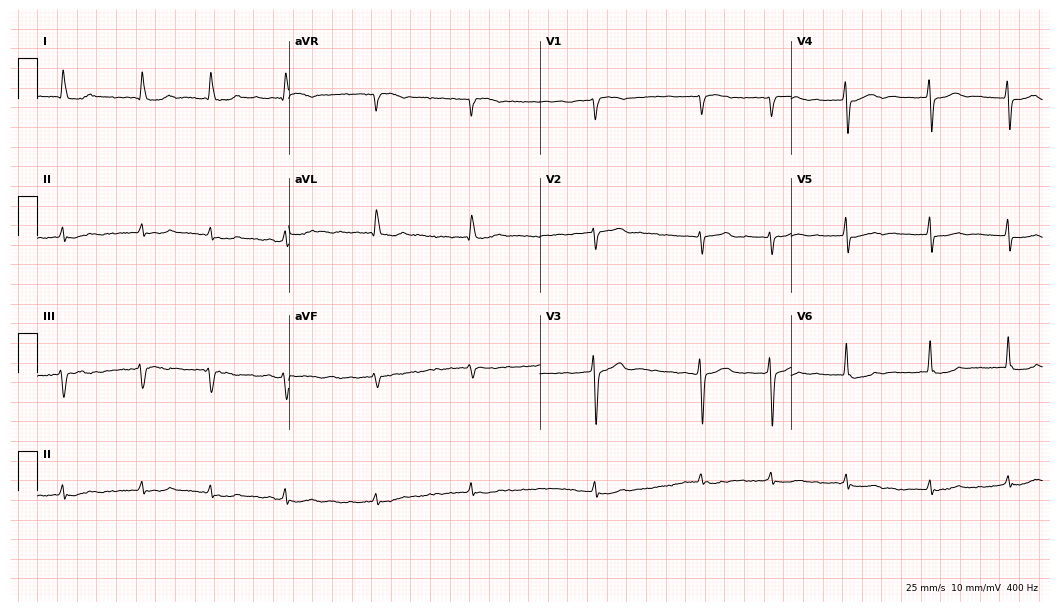
ECG (10.2-second recording at 400 Hz) — a woman, 75 years old. Findings include atrial fibrillation.